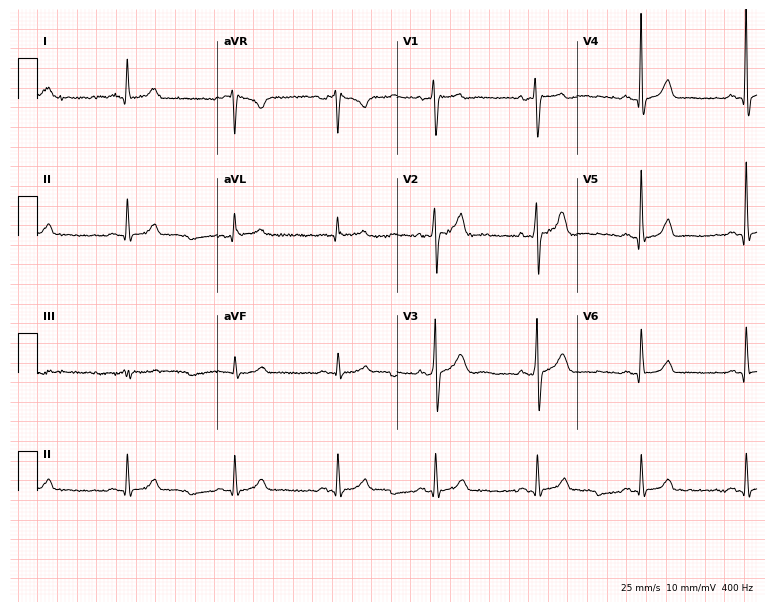
ECG (7.3-second recording at 400 Hz) — a male, 56 years old. Labelled as a normal ECG.